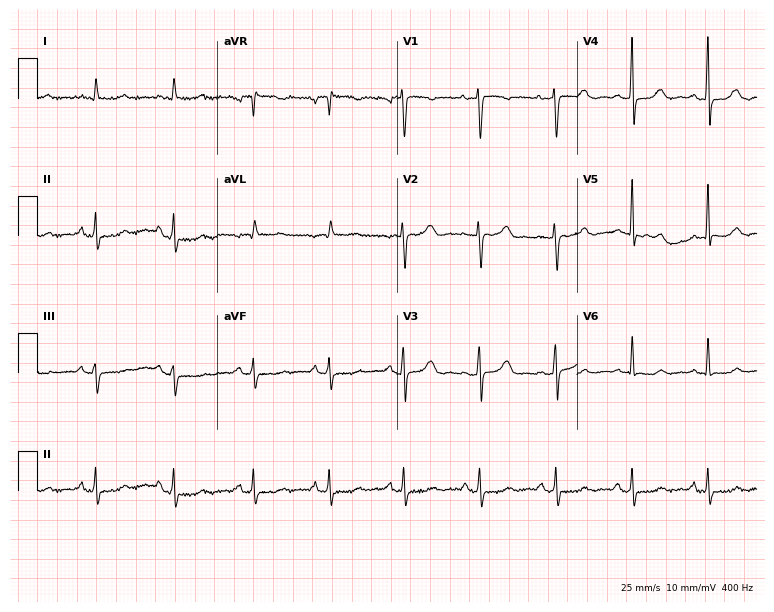
12-lead ECG from a female patient, 60 years old. Screened for six findings — first-degree AV block, right bundle branch block (RBBB), left bundle branch block (LBBB), sinus bradycardia, atrial fibrillation (AF), sinus tachycardia — none is recorded. Only these six findings were labelled.